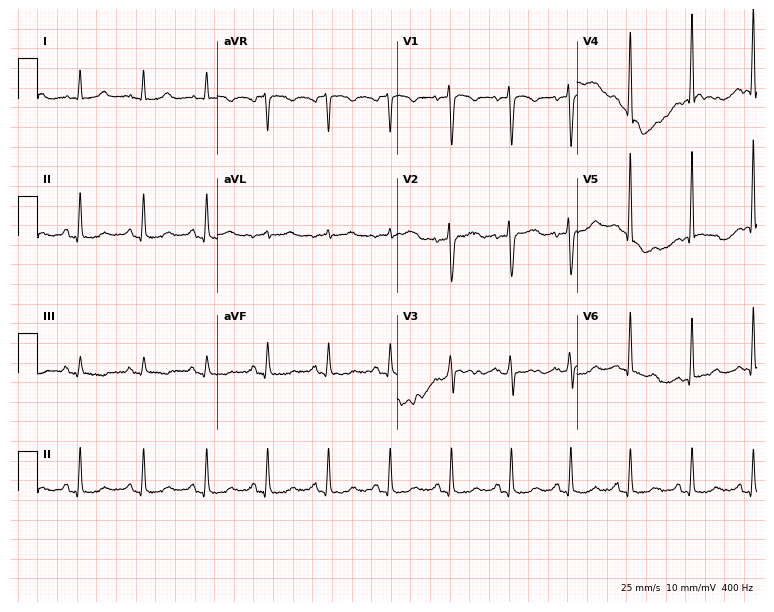
Standard 12-lead ECG recorded from a 59-year-old female patient (7.3-second recording at 400 Hz). Read as a normal ECG.